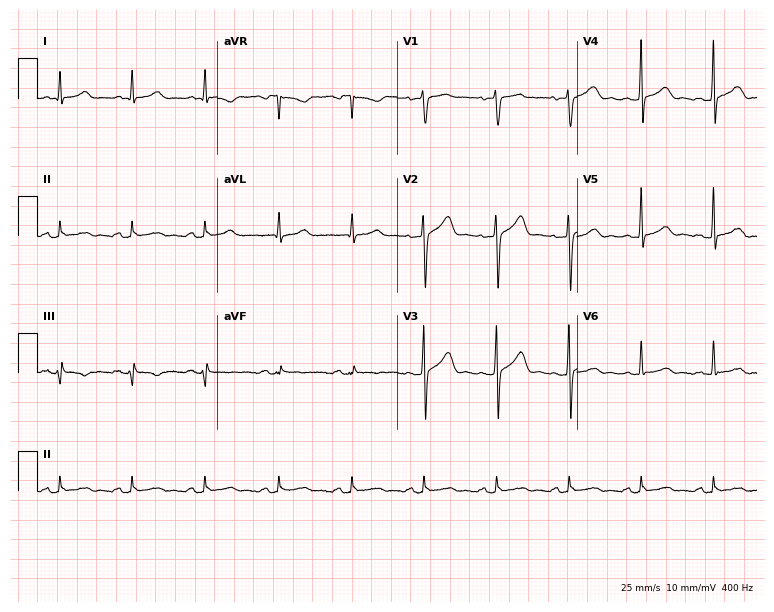
Electrocardiogram, a 45-year-old male patient. Of the six screened findings (first-degree AV block, right bundle branch block, left bundle branch block, sinus bradycardia, atrial fibrillation, sinus tachycardia), none is recorded. Only these six findings were labelled.